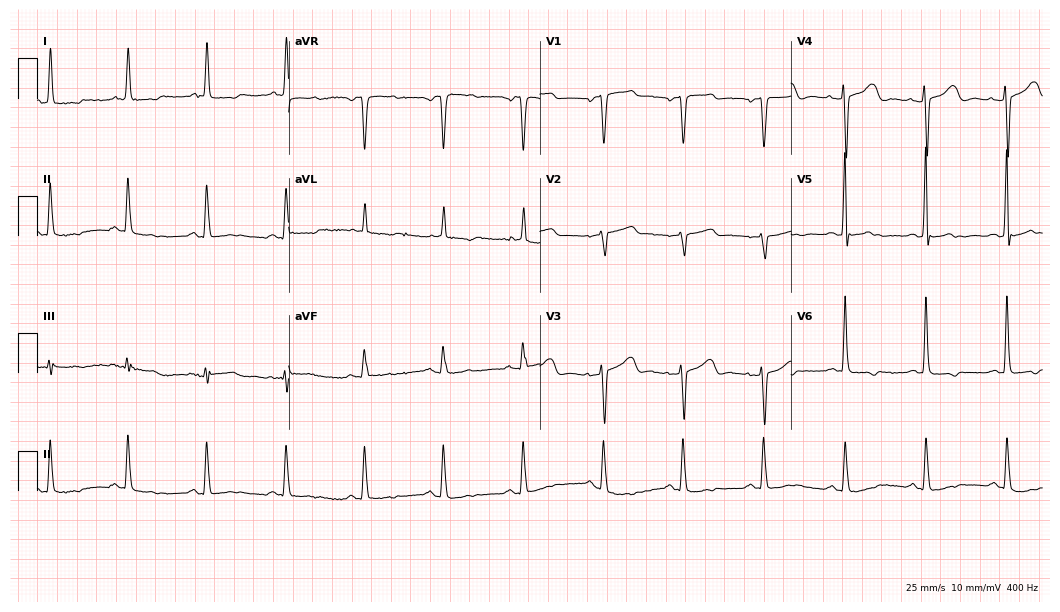
Electrocardiogram (10.2-second recording at 400 Hz), an 84-year-old female patient. Of the six screened findings (first-degree AV block, right bundle branch block, left bundle branch block, sinus bradycardia, atrial fibrillation, sinus tachycardia), none is recorded. Findings outside these six are not listed.